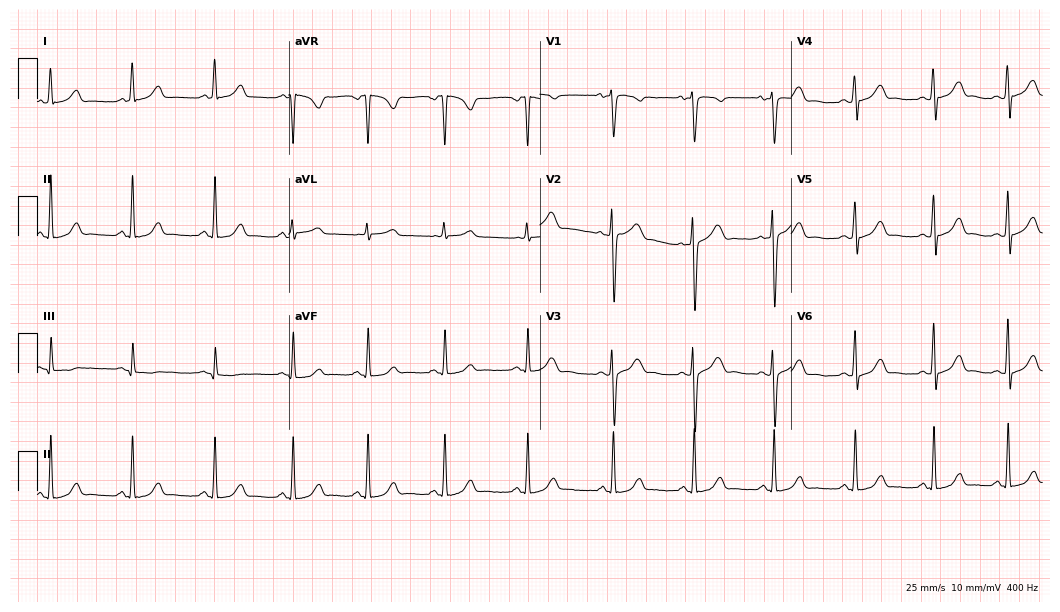
Standard 12-lead ECG recorded from a woman, 28 years old (10.2-second recording at 400 Hz). Read as a normal ECG.